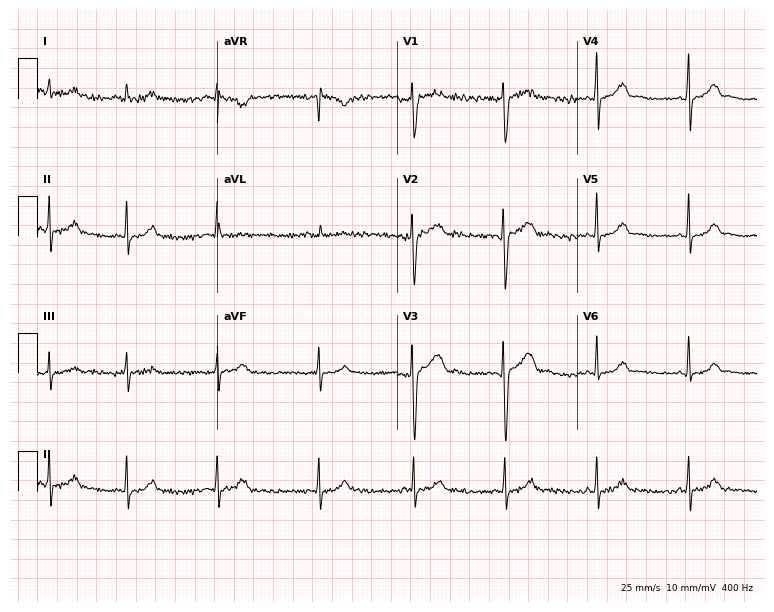
ECG — a 19-year-old female patient. Screened for six findings — first-degree AV block, right bundle branch block (RBBB), left bundle branch block (LBBB), sinus bradycardia, atrial fibrillation (AF), sinus tachycardia — none is recorded. Only these six findings were labelled.